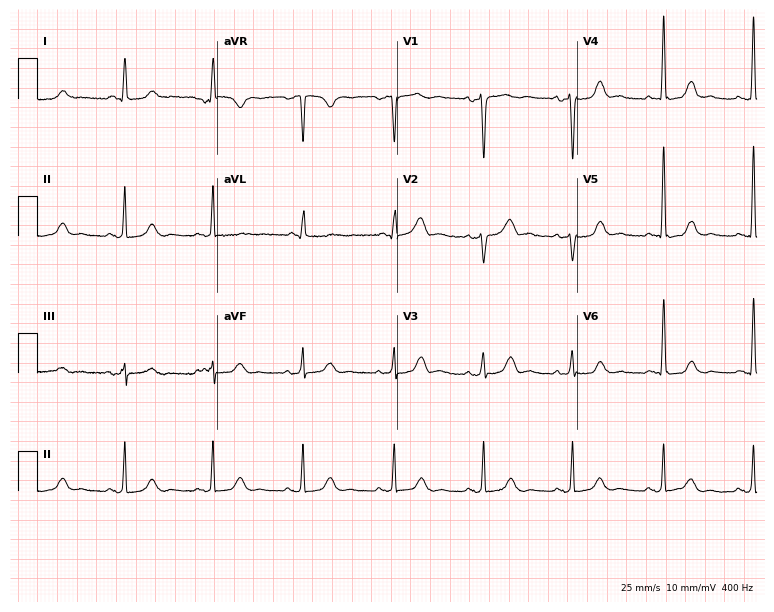
Standard 12-lead ECG recorded from a 55-year-old female patient. None of these six findings is recorded: first-degree AV block, right bundle branch block, left bundle branch block, sinus bradycardia, atrial fibrillation, sinus tachycardia.